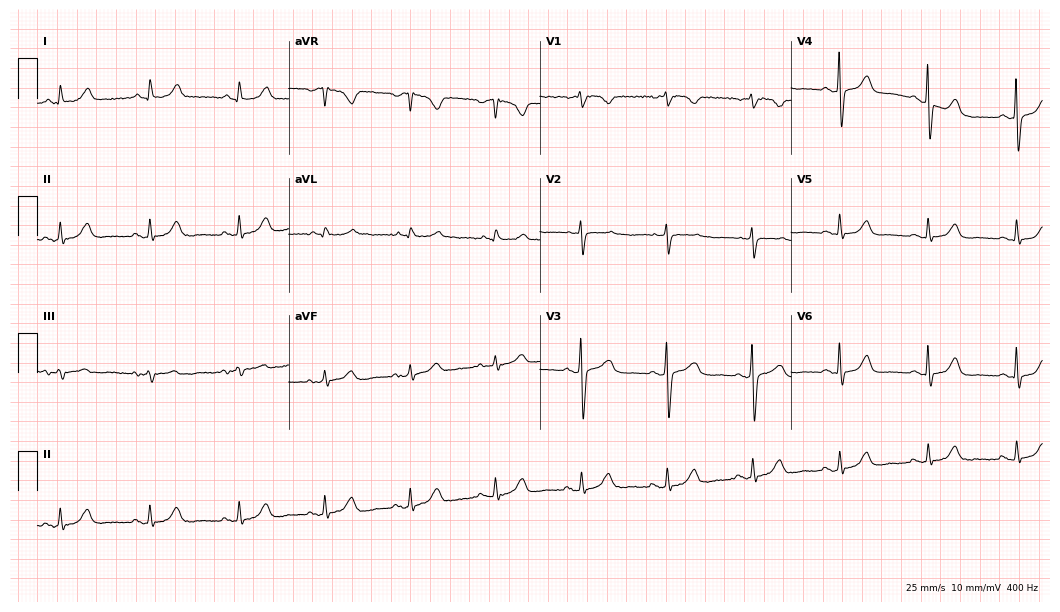
Standard 12-lead ECG recorded from a female, 69 years old (10.2-second recording at 400 Hz). None of these six findings is recorded: first-degree AV block, right bundle branch block (RBBB), left bundle branch block (LBBB), sinus bradycardia, atrial fibrillation (AF), sinus tachycardia.